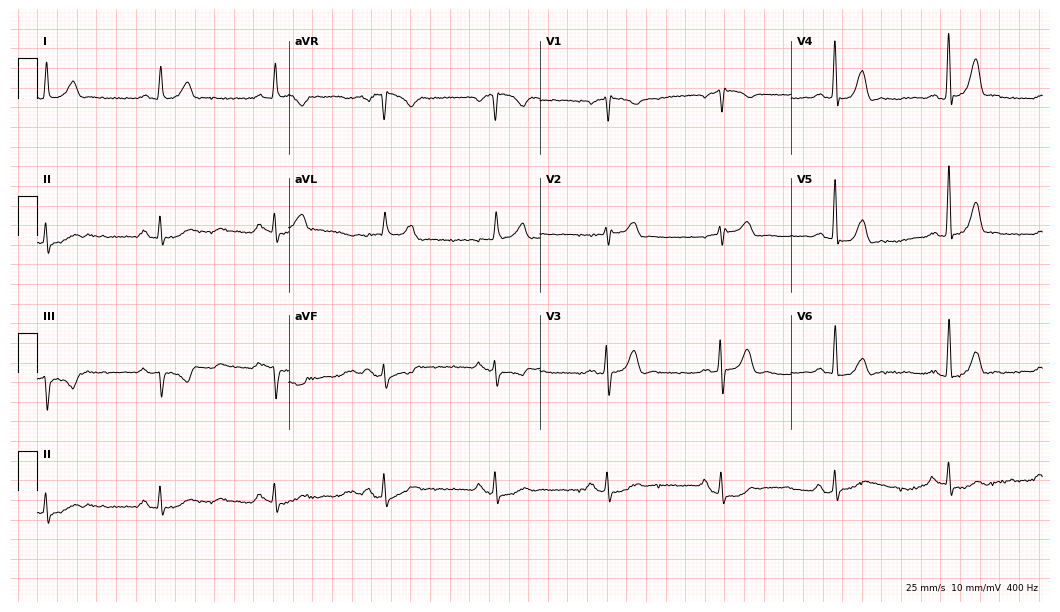
12-lead ECG from a 76-year-old man (10.2-second recording at 400 Hz). No first-degree AV block, right bundle branch block, left bundle branch block, sinus bradycardia, atrial fibrillation or sinus tachycardia recorded for this tracing. Findings outside these six are not listed.